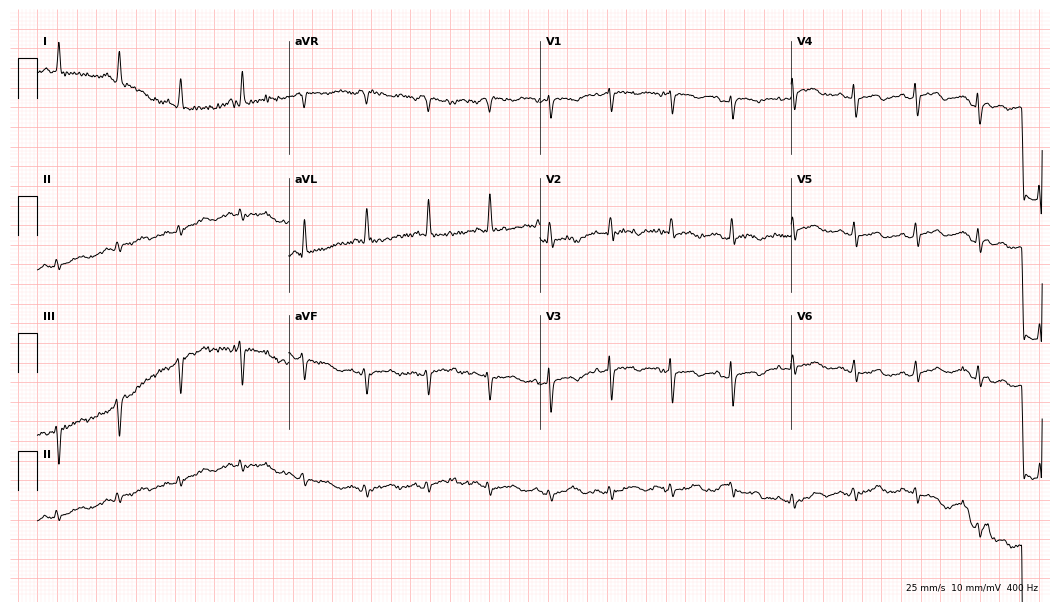
Resting 12-lead electrocardiogram. Patient: an 82-year-old female. Read as a normal ECG.